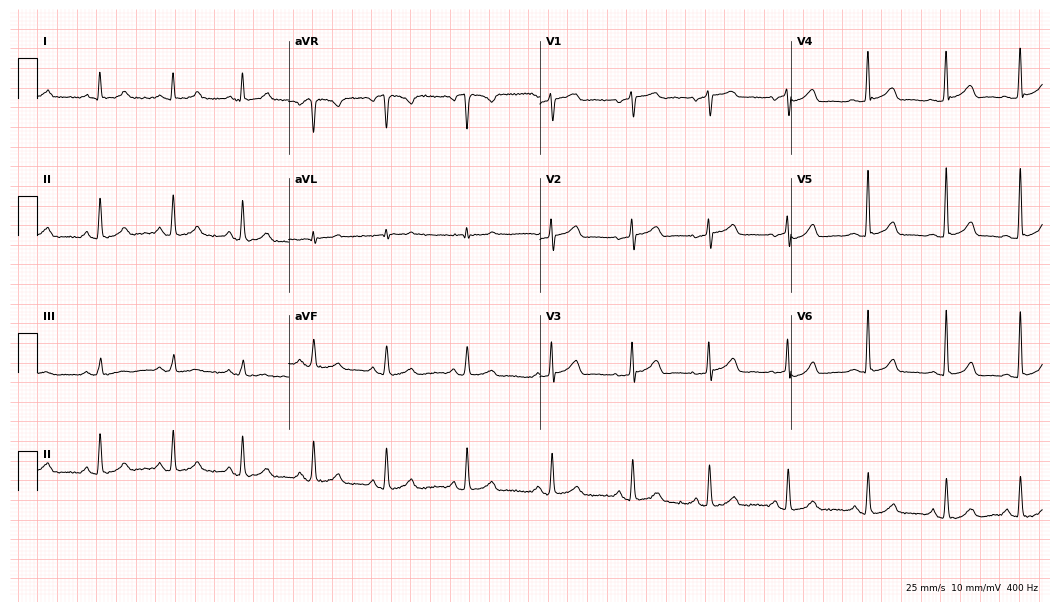
12-lead ECG from a 71-year-old female. Recorded interpretation: within normal limits.